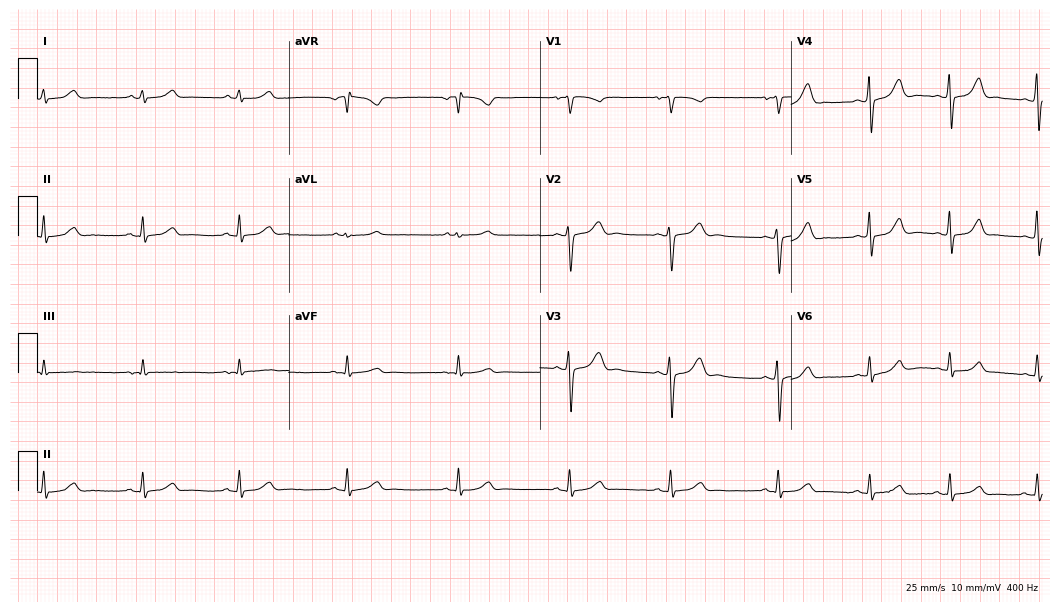
12-lead ECG from a woman, 22 years old (10.2-second recording at 400 Hz). Recorded interpretation: within normal limits.